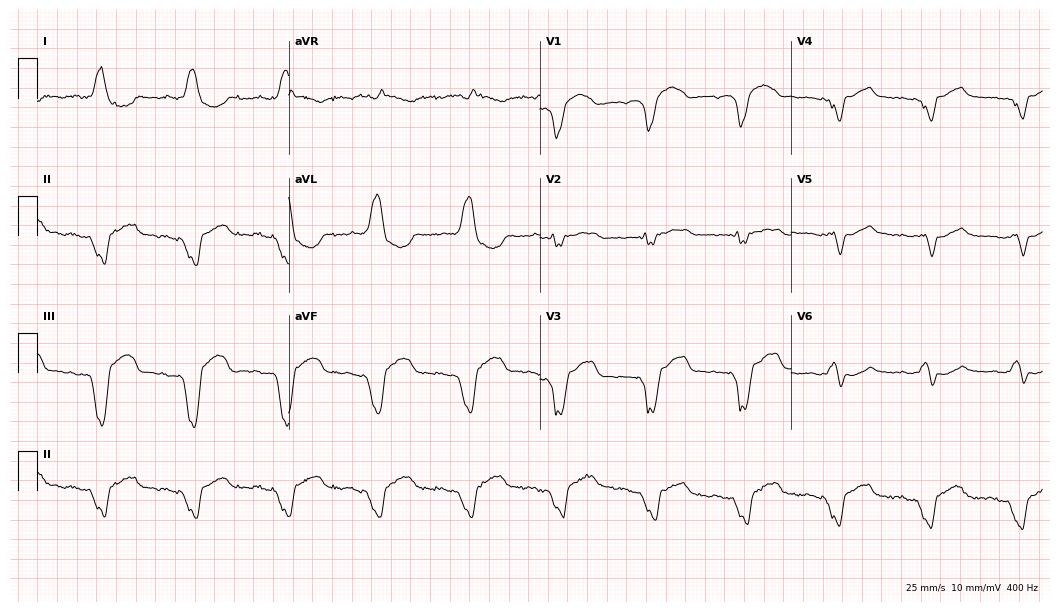
ECG — a male patient, 80 years old. Findings include left bundle branch block.